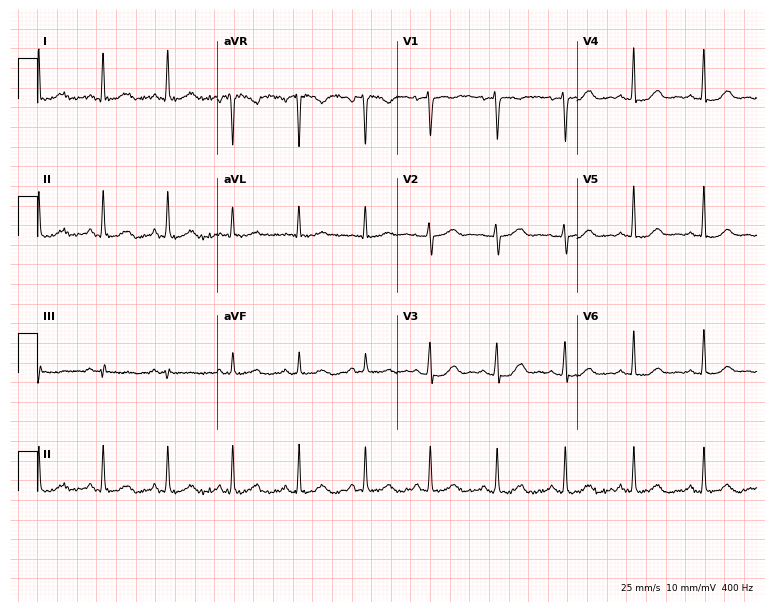
Electrocardiogram, a 64-year-old female patient. Overall reading on record: normal ECG.